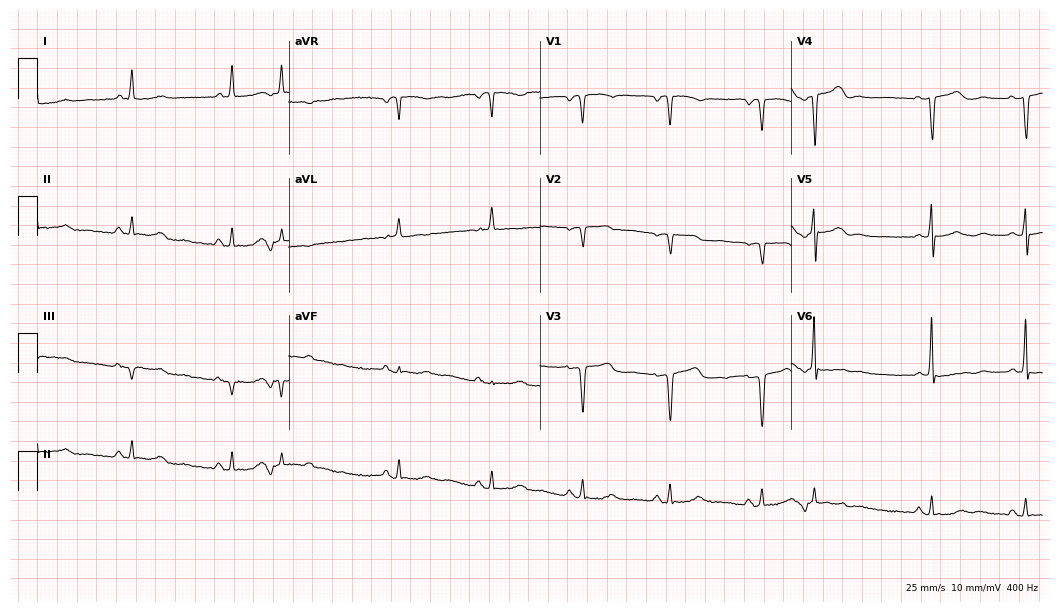
12-lead ECG (10.2-second recording at 400 Hz) from a female patient, 68 years old. Screened for six findings — first-degree AV block, right bundle branch block, left bundle branch block, sinus bradycardia, atrial fibrillation, sinus tachycardia — none is recorded. Only these six findings were labelled.